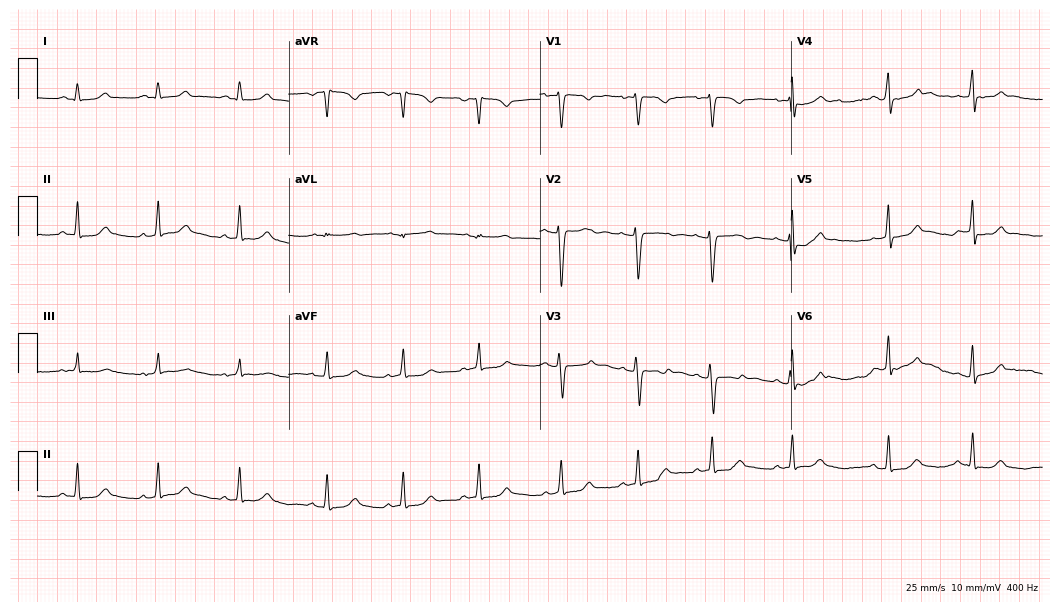
Standard 12-lead ECG recorded from a 30-year-old female patient (10.2-second recording at 400 Hz). None of these six findings is recorded: first-degree AV block, right bundle branch block, left bundle branch block, sinus bradycardia, atrial fibrillation, sinus tachycardia.